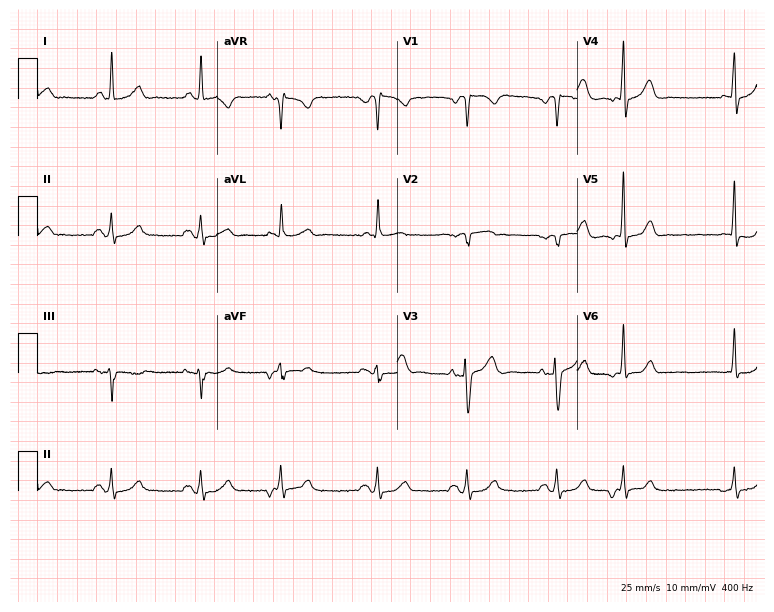
12-lead ECG from a woman, 67 years old. Screened for six findings — first-degree AV block, right bundle branch block, left bundle branch block, sinus bradycardia, atrial fibrillation, sinus tachycardia — none is recorded.